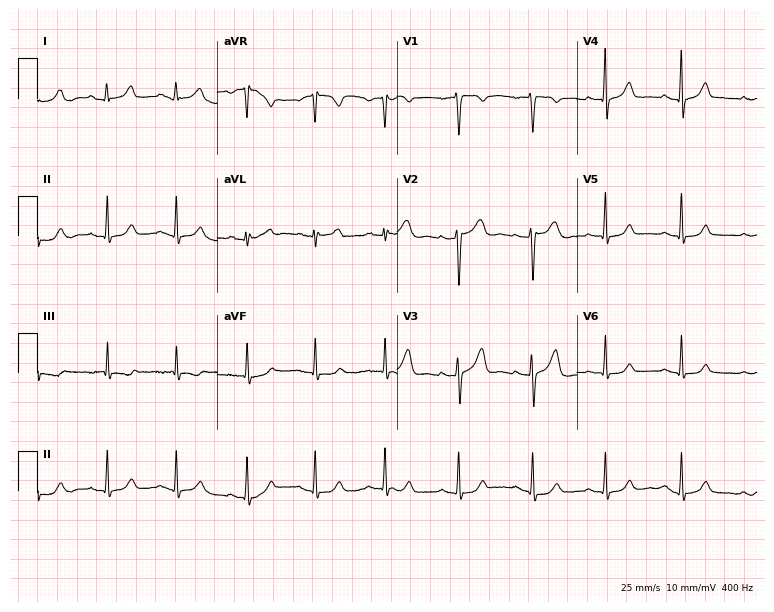
ECG (7.3-second recording at 400 Hz) — a female, 41 years old. Screened for six findings — first-degree AV block, right bundle branch block, left bundle branch block, sinus bradycardia, atrial fibrillation, sinus tachycardia — none is recorded. Other findings, if any, are not listed.